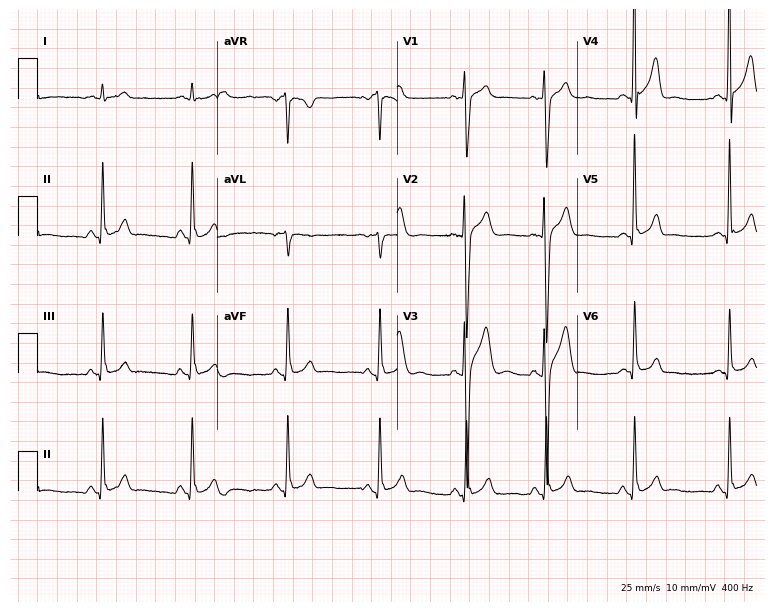
Standard 12-lead ECG recorded from a 25-year-old male patient (7.3-second recording at 400 Hz). Read as a normal ECG.